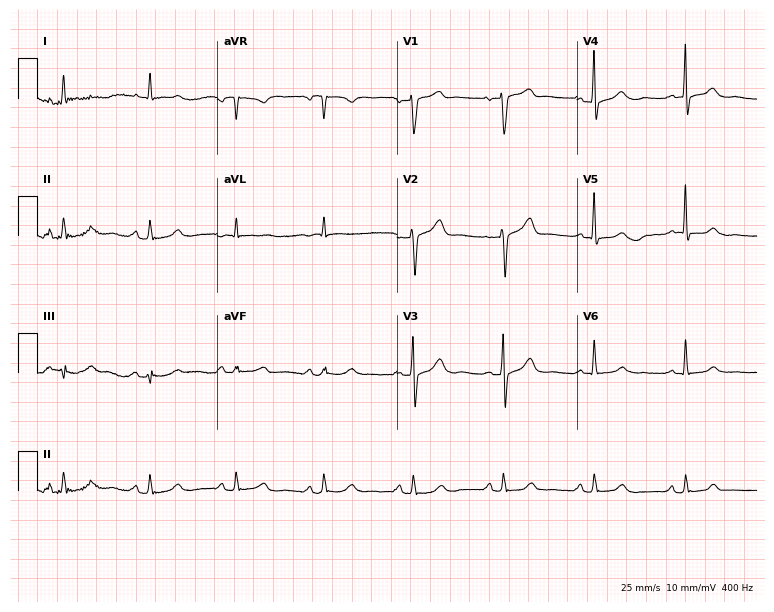
ECG — an 85-year-old man. Screened for six findings — first-degree AV block, right bundle branch block, left bundle branch block, sinus bradycardia, atrial fibrillation, sinus tachycardia — none is recorded.